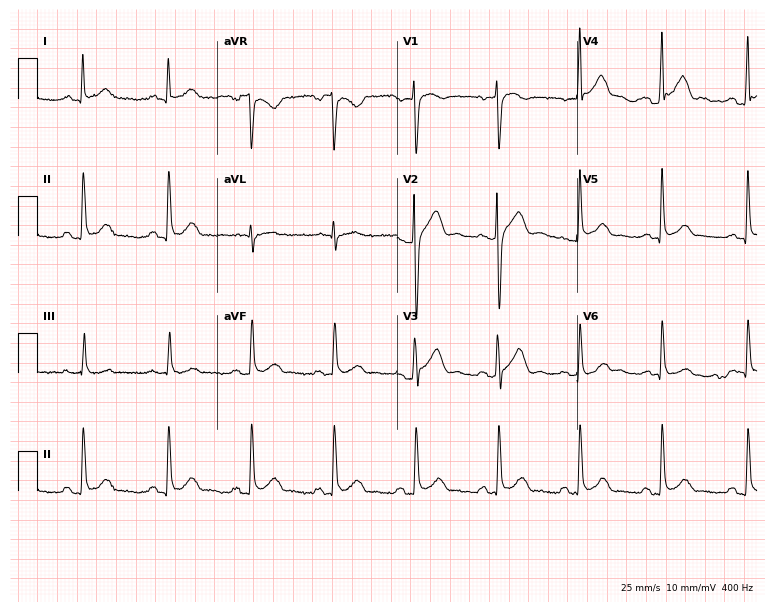
12-lead ECG from a male, 38 years old (7.3-second recording at 400 Hz). No first-degree AV block, right bundle branch block, left bundle branch block, sinus bradycardia, atrial fibrillation or sinus tachycardia recorded for this tracing. Only these six findings were labelled.